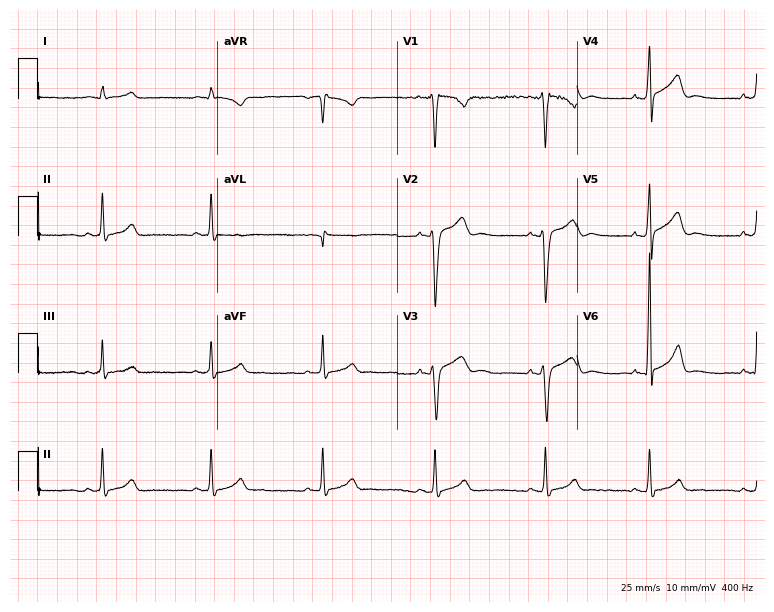
12-lead ECG from a 31-year-old male patient. Screened for six findings — first-degree AV block, right bundle branch block (RBBB), left bundle branch block (LBBB), sinus bradycardia, atrial fibrillation (AF), sinus tachycardia — none is recorded.